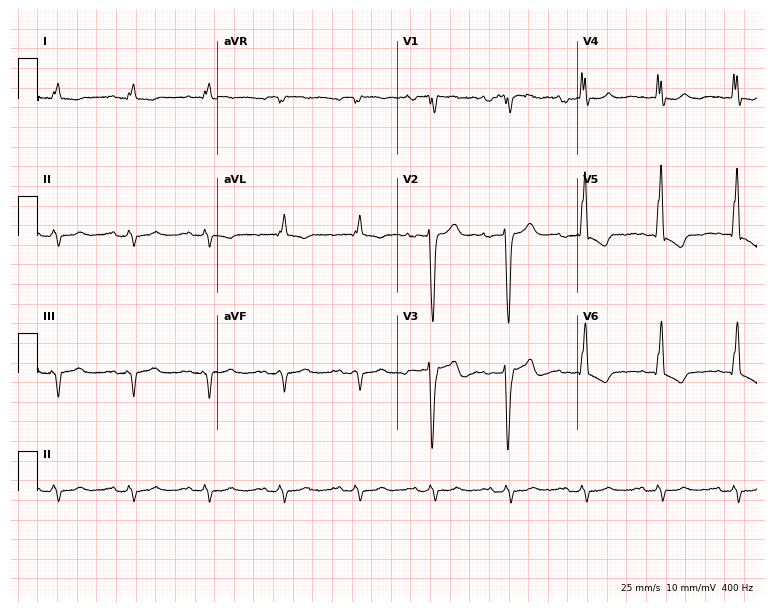
Electrocardiogram (7.3-second recording at 400 Hz), a 67-year-old man. Interpretation includes first-degree AV block.